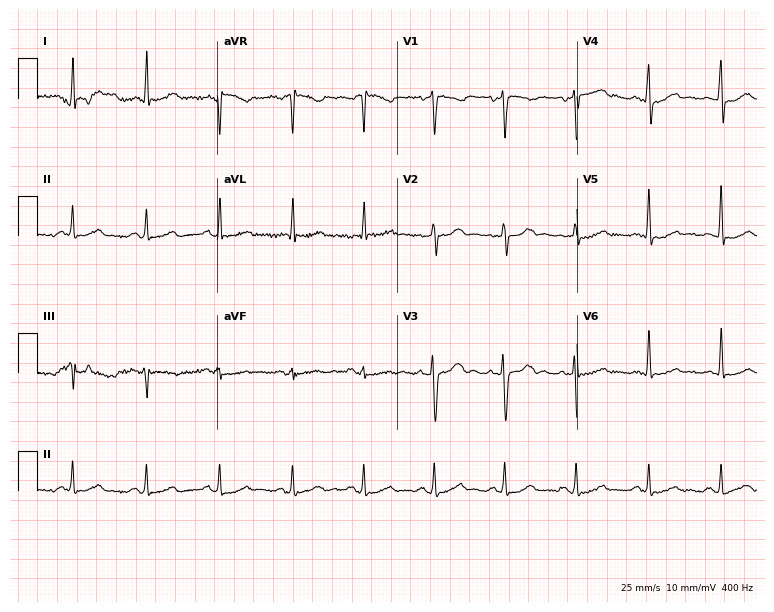
12-lead ECG from a 40-year-old male (7.3-second recording at 400 Hz). Recorded interpretation: within normal limits.